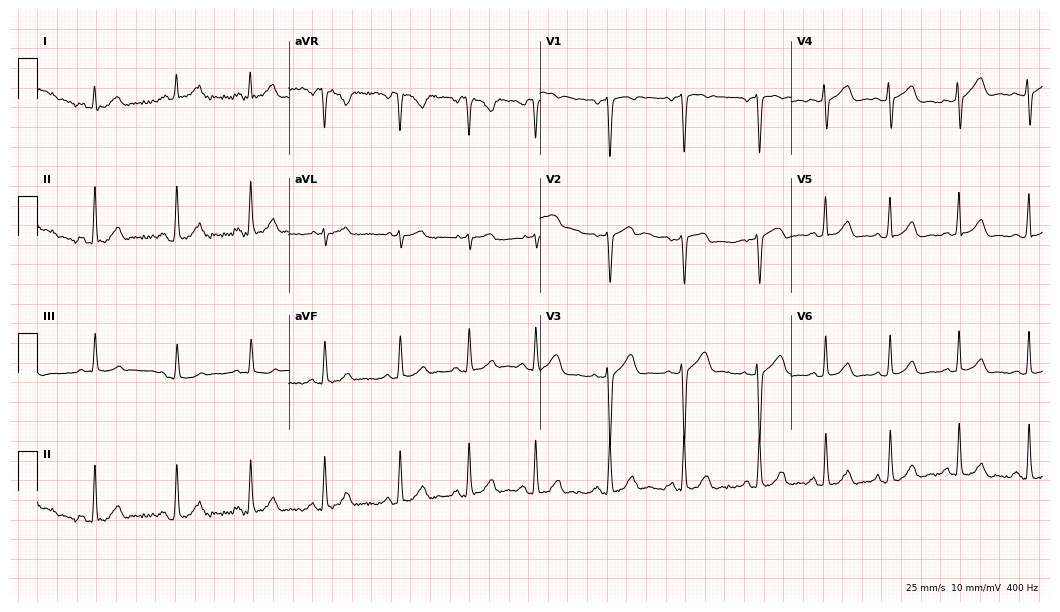
Resting 12-lead electrocardiogram (10.2-second recording at 400 Hz). Patient: a 24-year-old female. Read as a normal ECG.